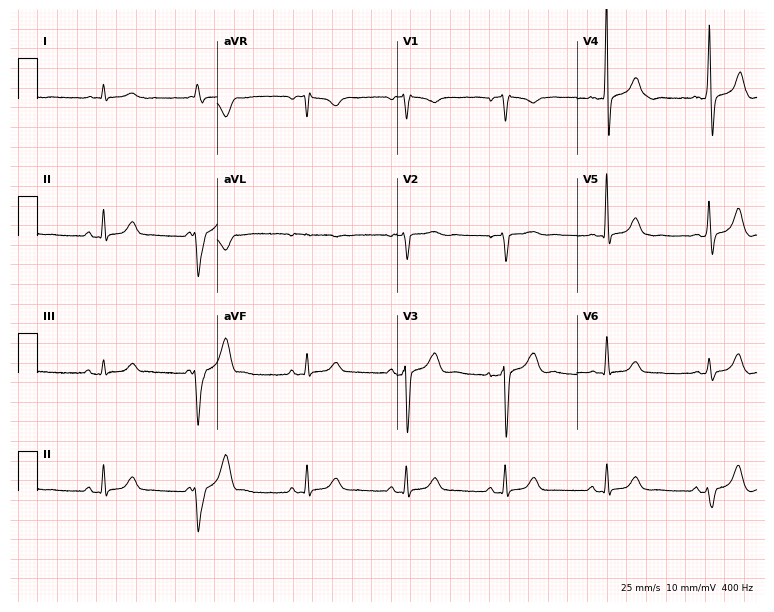
12-lead ECG from an 85-year-old male patient (7.3-second recording at 400 Hz). No first-degree AV block, right bundle branch block (RBBB), left bundle branch block (LBBB), sinus bradycardia, atrial fibrillation (AF) or sinus tachycardia recorded for this tracing. Only these six findings were labelled.